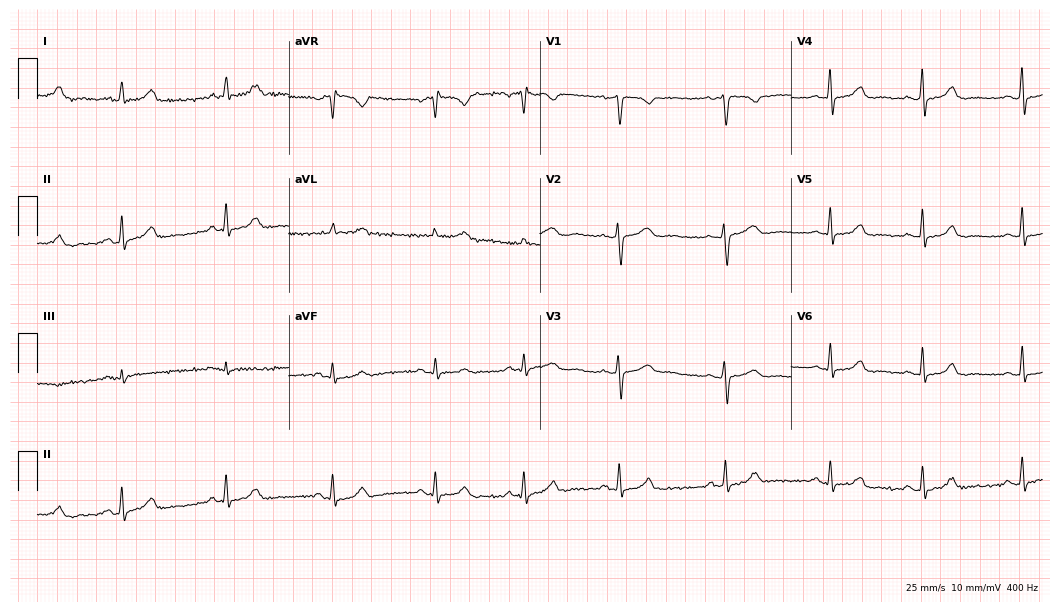
12-lead ECG from a woman, 40 years old. Recorded interpretation: within normal limits.